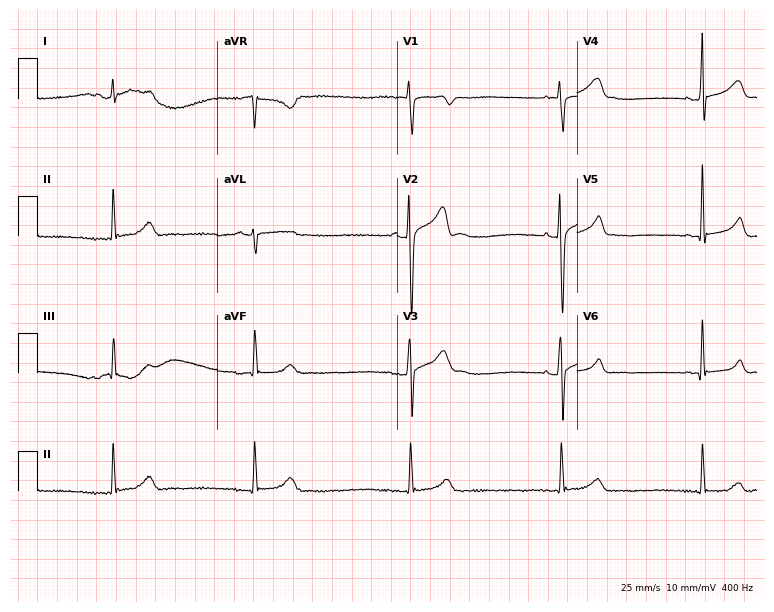
12-lead ECG (7.3-second recording at 400 Hz) from a male, 27 years old. Findings include sinus bradycardia (a sinus rate of 50 beats per minute or less).